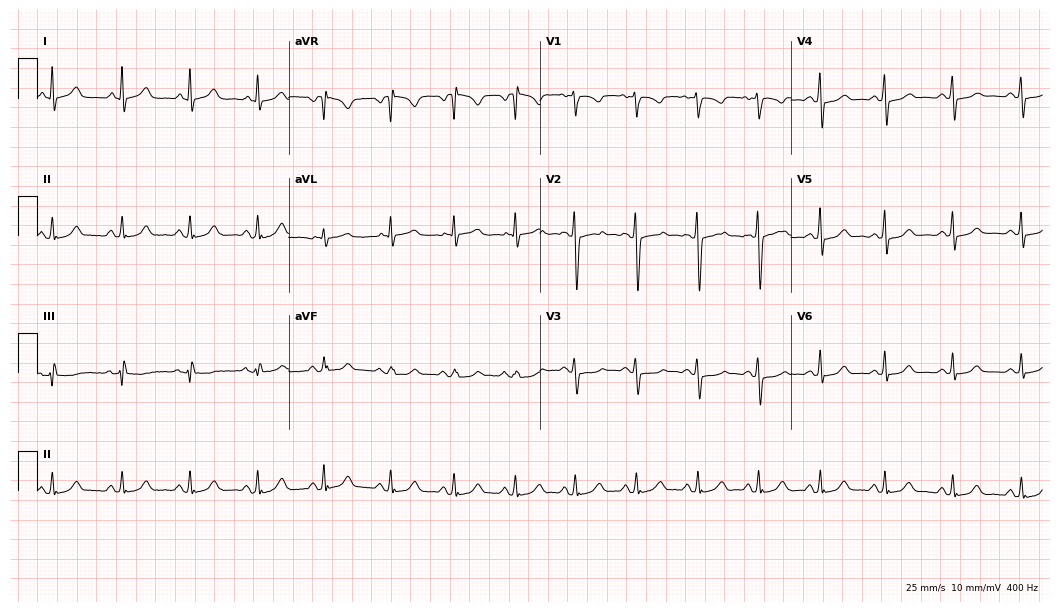
12-lead ECG (10.2-second recording at 400 Hz) from a 41-year-old man. Labelled as a normal ECG.